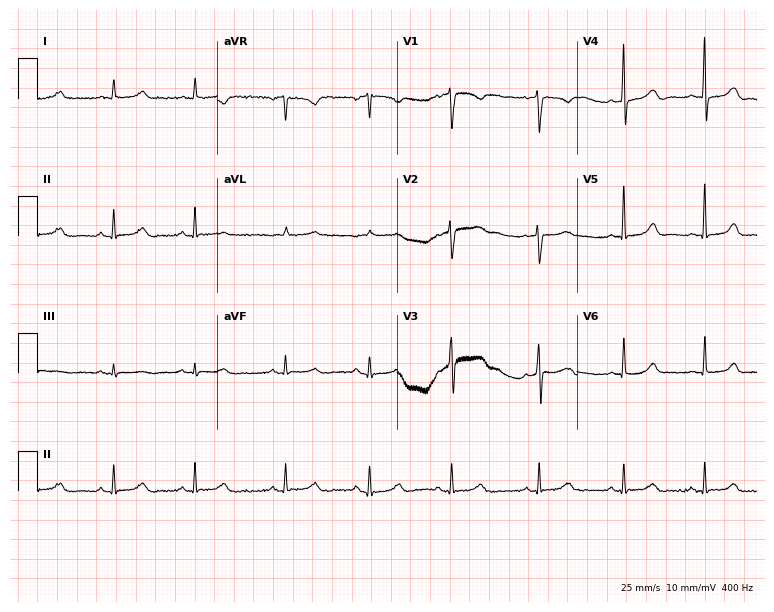
12-lead ECG from a 49-year-old female. Labelled as a normal ECG.